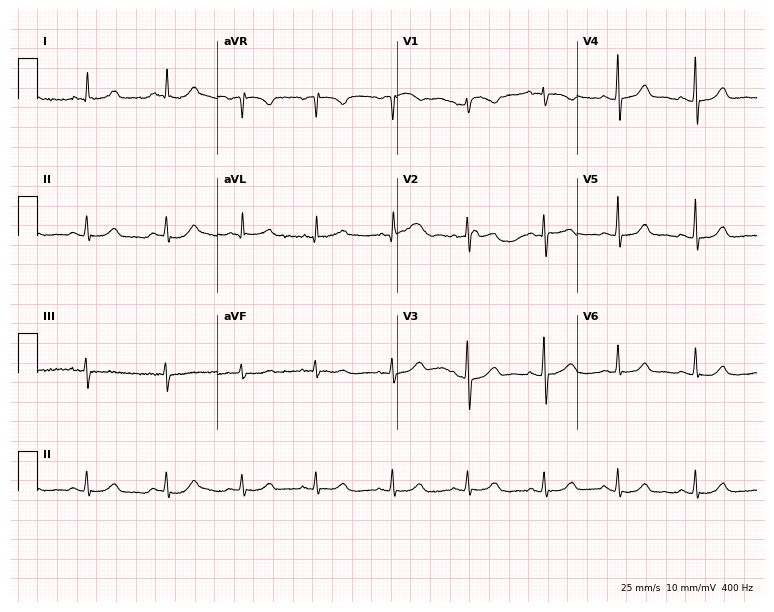
ECG — a 71-year-old woman. Labelled as a normal ECG.